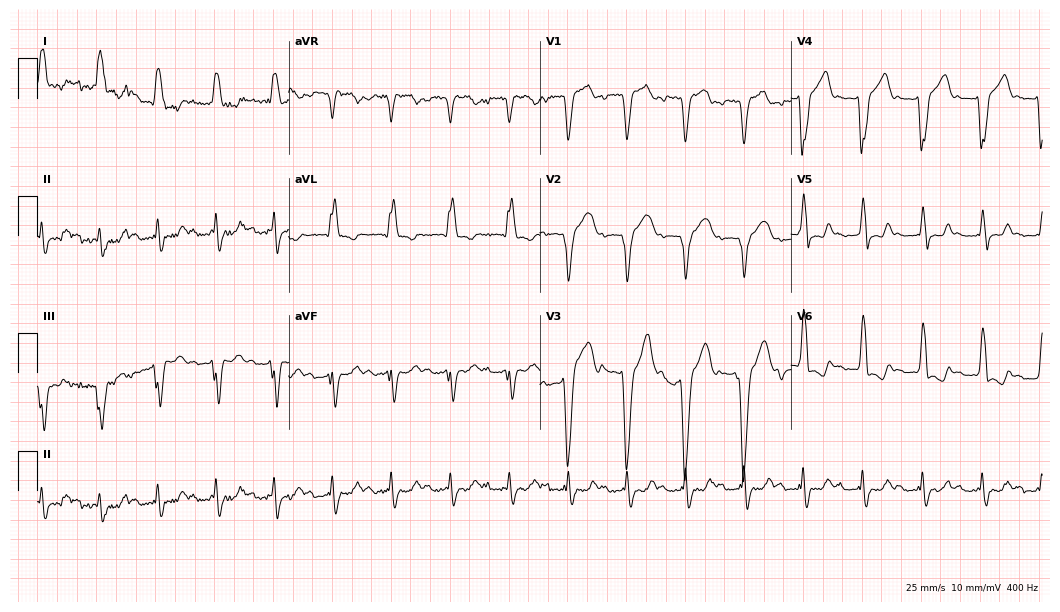
12-lead ECG from a 55-year-old female. Shows first-degree AV block, left bundle branch block, sinus tachycardia (a sinus rate of 100 beats per minute or more).